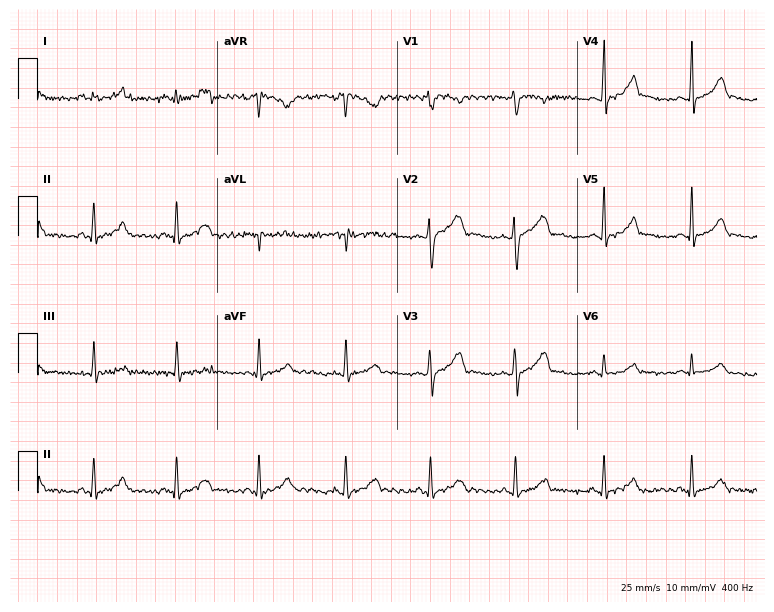
12-lead ECG from a woman, 22 years old. Labelled as a normal ECG.